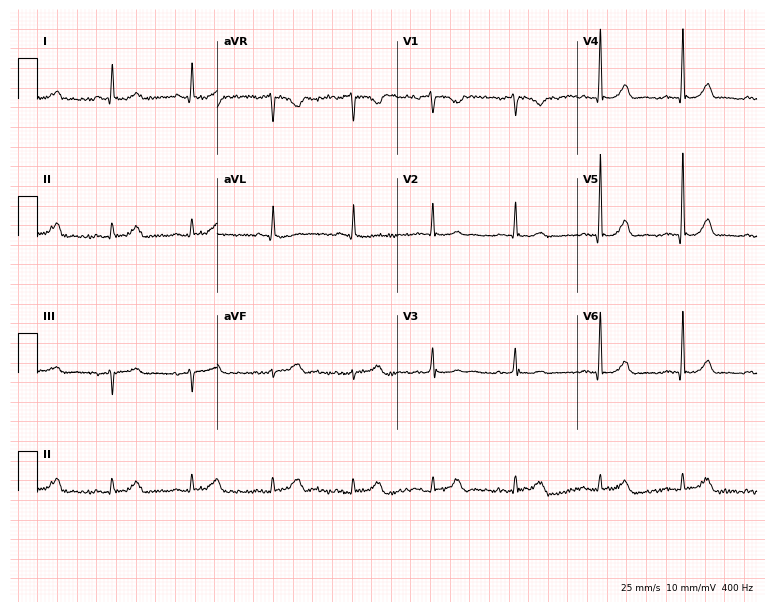
12-lead ECG (7.3-second recording at 400 Hz) from a woman, 72 years old. Screened for six findings — first-degree AV block, right bundle branch block, left bundle branch block, sinus bradycardia, atrial fibrillation, sinus tachycardia — none is recorded. Other findings, if any, are not listed.